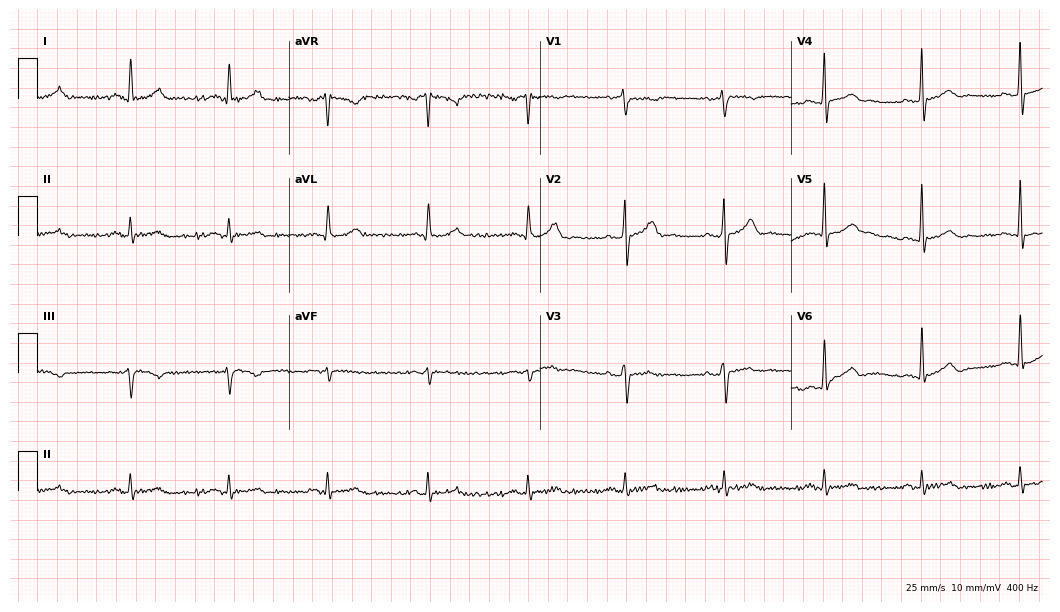
ECG — a man, 61 years old. Labelled as a normal ECG.